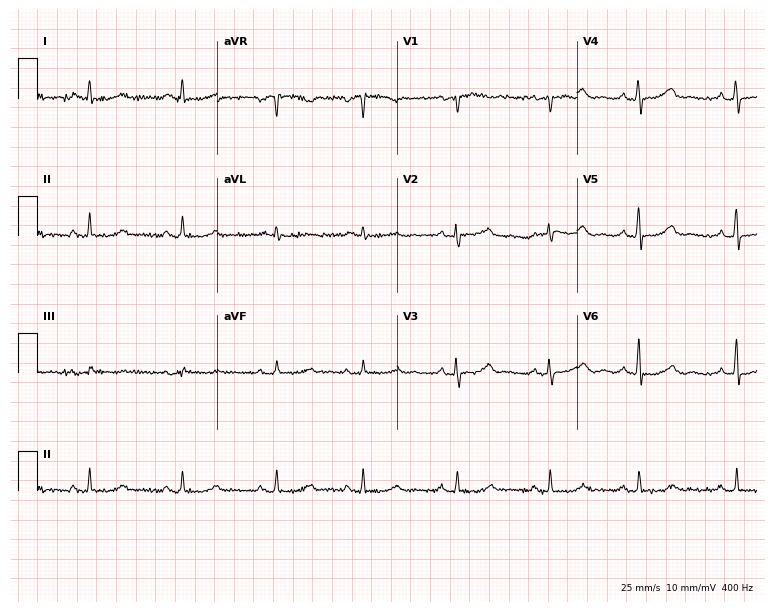
ECG — a 59-year-old female patient. Screened for six findings — first-degree AV block, right bundle branch block (RBBB), left bundle branch block (LBBB), sinus bradycardia, atrial fibrillation (AF), sinus tachycardia — none is recorded. Findings outside these six are not listed.